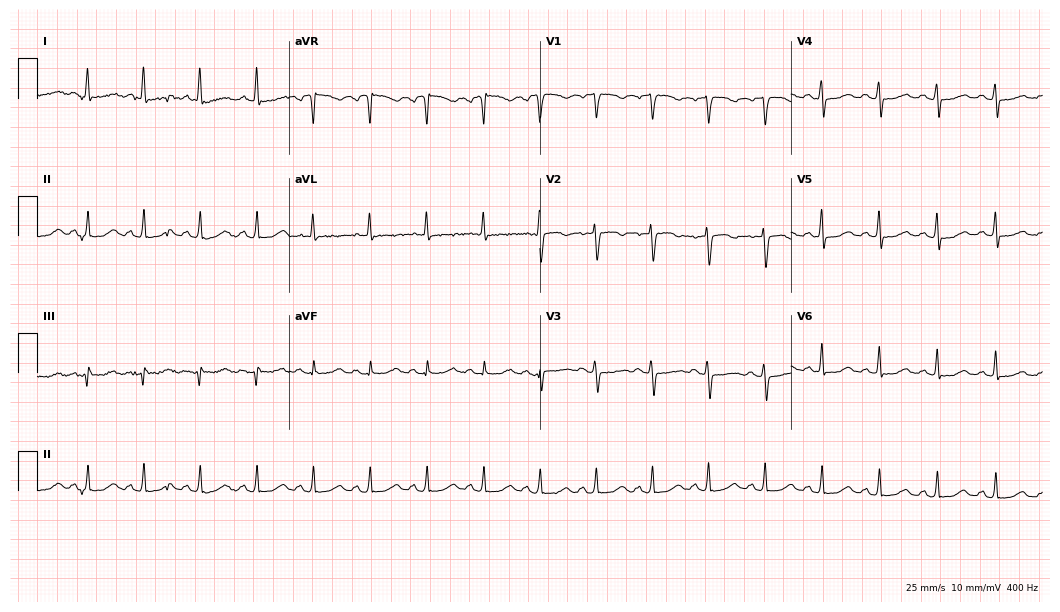
Standard 12-lead ECG recorded from a 64-year-old female patient. The tracing shows sinus tachycardia (a sinus rate of 100 beats per minute or more).